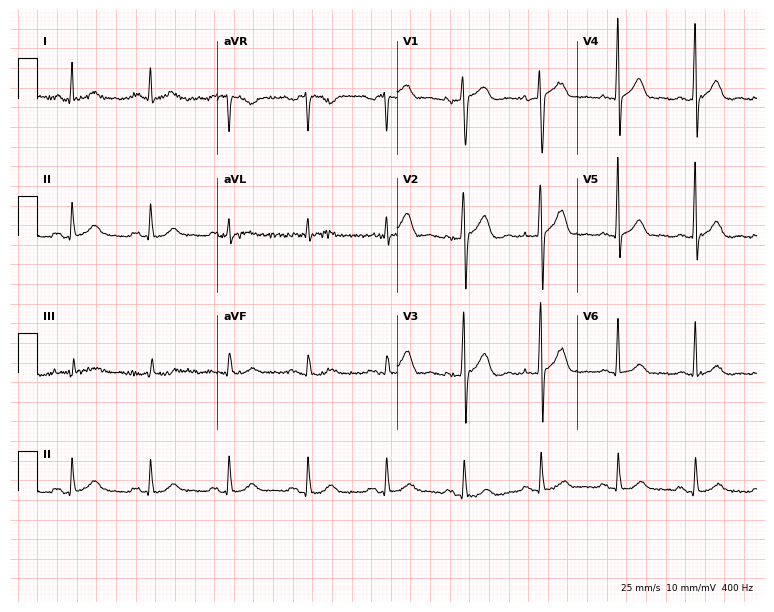
Standard 12-lead ECG recorded from a man, 75 years old (7.3-second recording at 400 Hz). Read as a normal ECG.